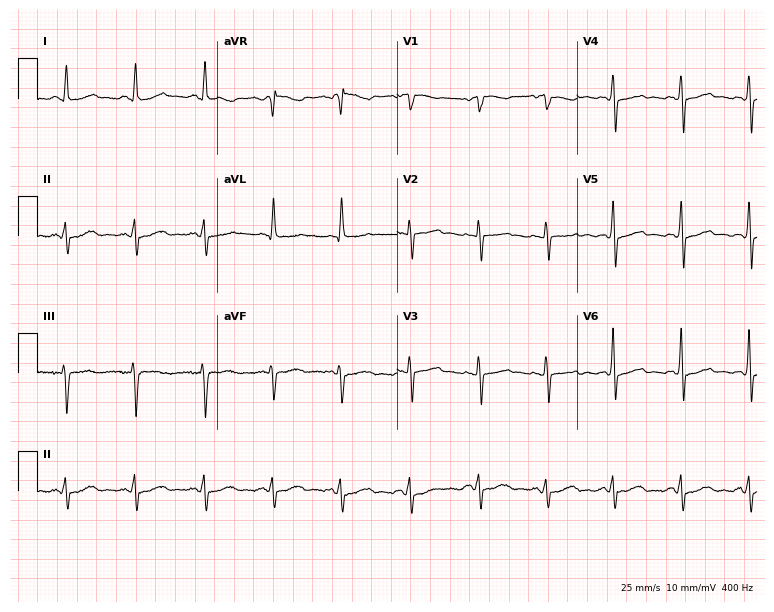
Standard 12-lead ECG recorded from a female, 56 years old. None of these six findings is recorded: first-degree AV block, right bundle branch block, left bundle branch block, sinus bradycardia, atrial fibrillation, sinus tachycardia. Findings outside these six are not listed.